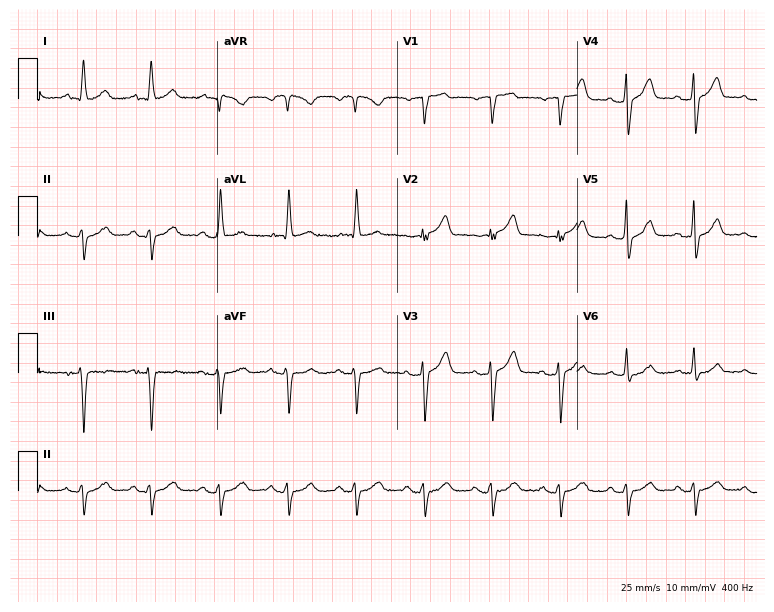
Resting 12-lead electrocardiogram. Patient: a 72-year-old male. None of these six findings is recorded: first-degree AV block, right bundle branch block, left bundle branch block, sinus bradycardia, atrial fibrillation, sinus tachycardia. Only these six findings were labelled.